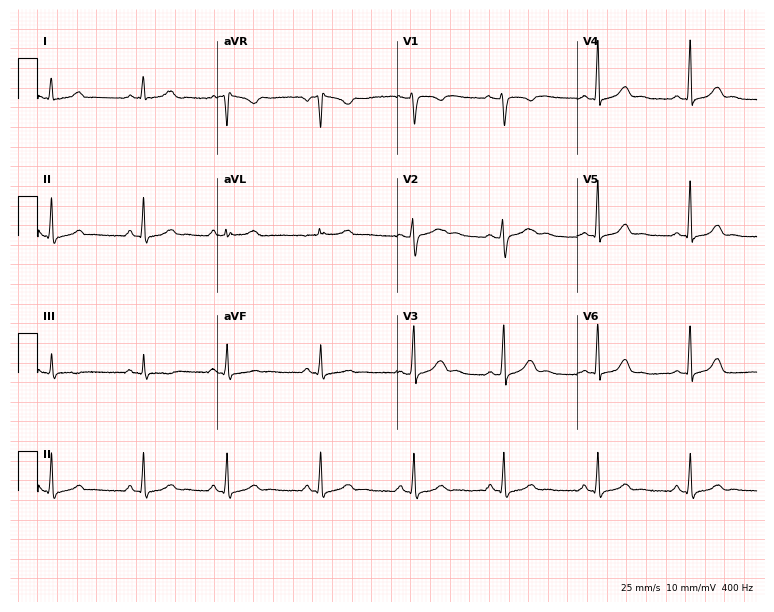
12-lead ECG from a 31-year-old female. Screened for six findings — first-degree AV block, right bundle branch block, left bundle branch block, sinus bradycardia, atrial fibrillation, sinus tachycardia — none is recorded.